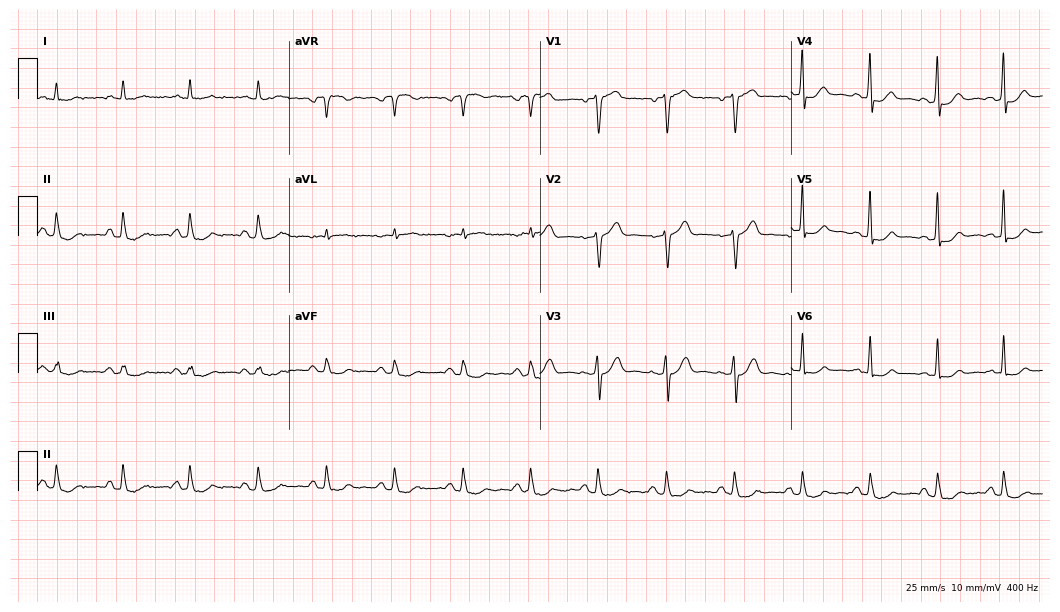
Standard 12-lead ECG recorded from an 81-year-old male patient (10.2-second recording at 400 Hz). None of these six findings is recorded: first-degree AV block, right bundle branch block, left bundle branch block, sinus bradycardia, atrial fibrillation, sinus tachycardia.